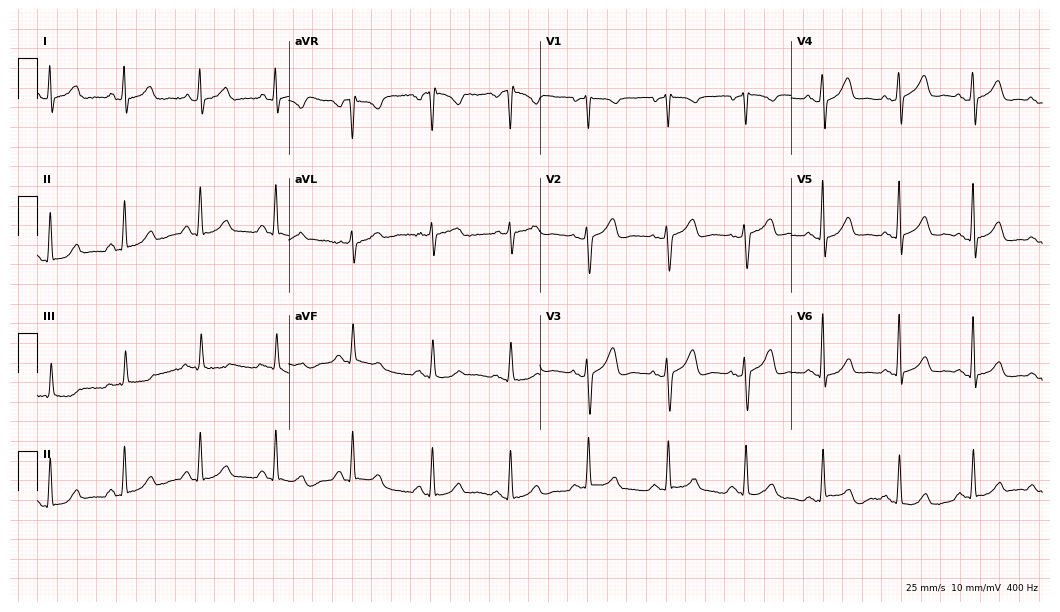
ECG (10.2-second recording at 400 Hz) — a 50-year-old female. Screened for six findings — first-degree AV block, right bundle branch block, left bundle branch block, sinus bradycardia, atrial fibrillation, sinus tachycardia — none is recorded. Findings outside these six are not listed.